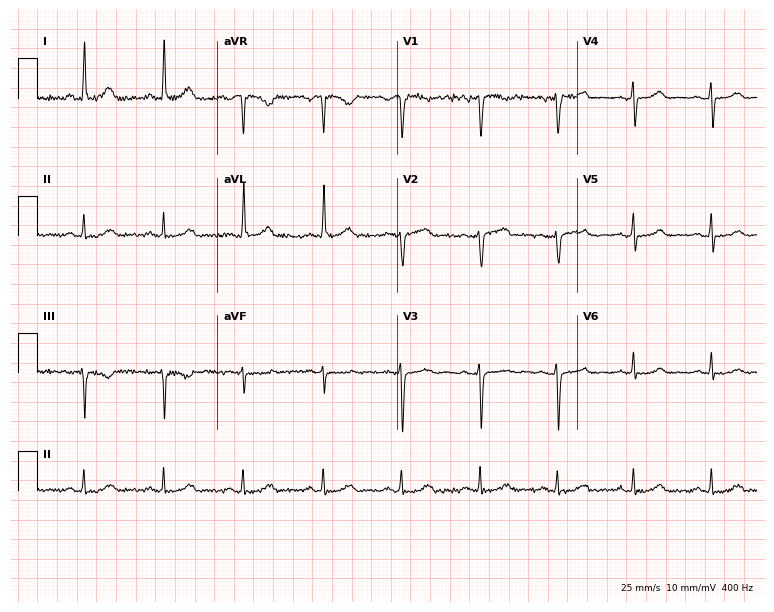
12-lead ECG from a woman, 50 years old (7.3-second recording at 400 Hz). Recorded interpretation: within normal limits.